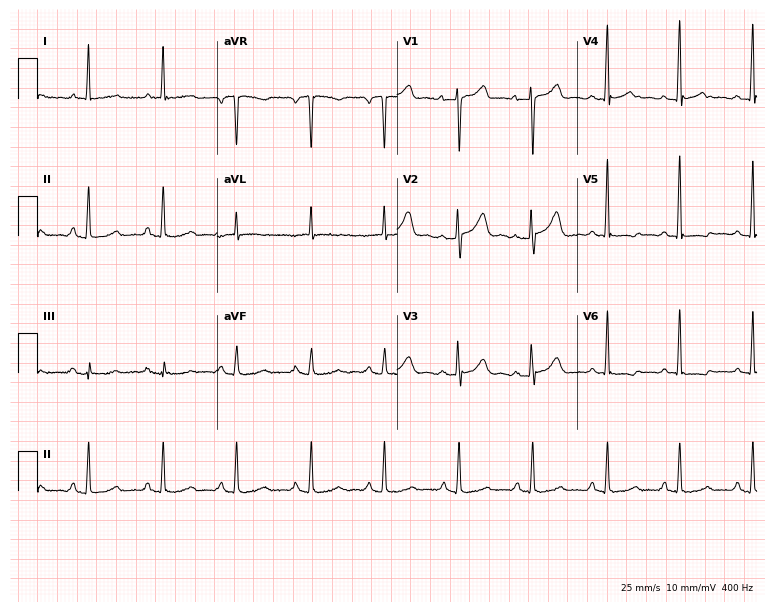
Standard 12-lead ECG recorded from a 58-year-old female patient. None of these six findings is recorded: first-degree AV block, right bundle branch block (RBBB), left bundle branch block (LBBB), sinus bradycardia, atrial fibrillation (AF), sinus tachycardia. Findings outside these six are not listed.